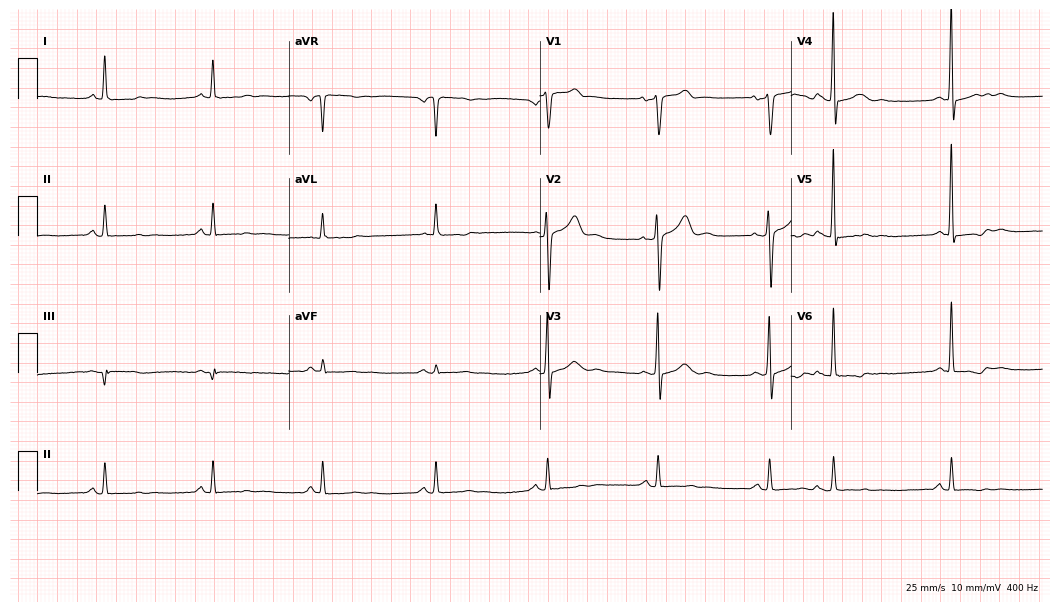
Resting 12-lead electrocardiogram. Patient: a male, 60 years old. None of these six findings is recorded: first-degree AV block, right bundle branch block, left bundle branch block, sinus bradycardia, atrial fibrillation, sinus tachycardia.